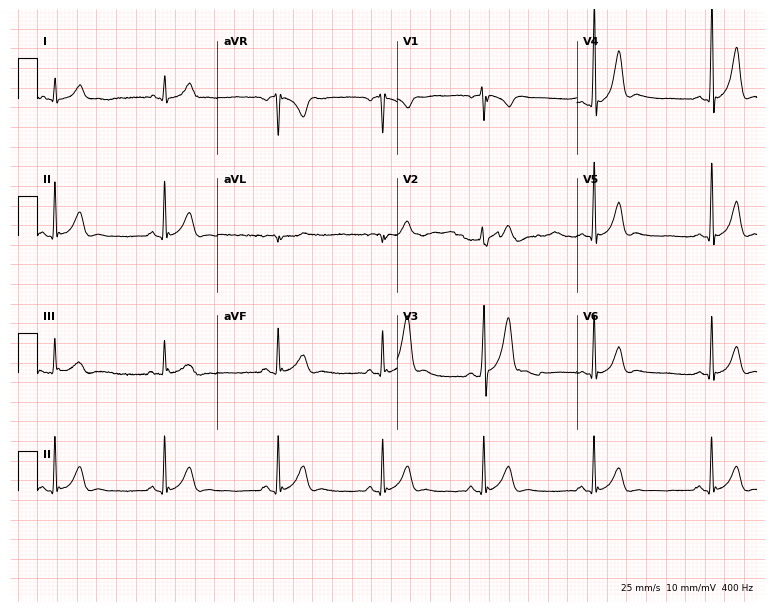
Standard 12-lead ECG recorded from a 23-year-old man. Read as a normal ECG.